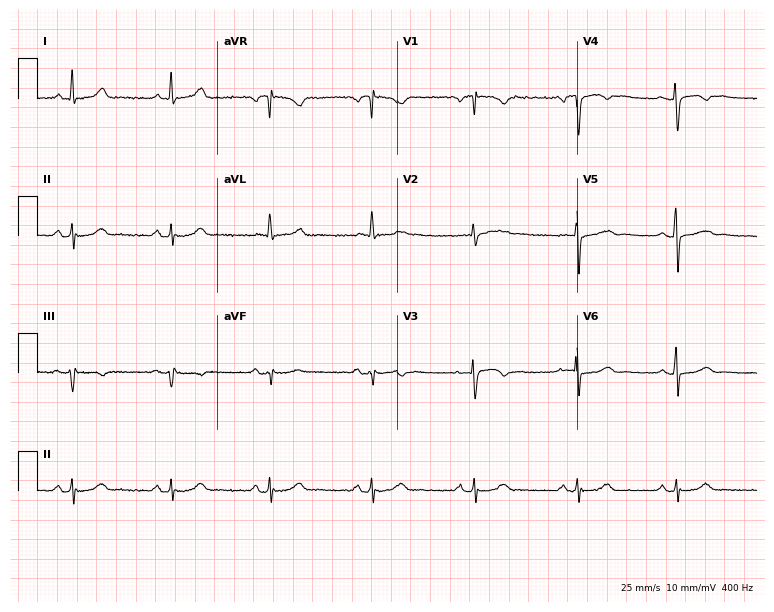
12-lead ECG from a woman, 55 years old. Screened for six findings — first-degree AV block, right bundle branch block, left bundle branch block, sinus bradycardia, atrial fibrillation, sinus tachycardia — none is recorded.